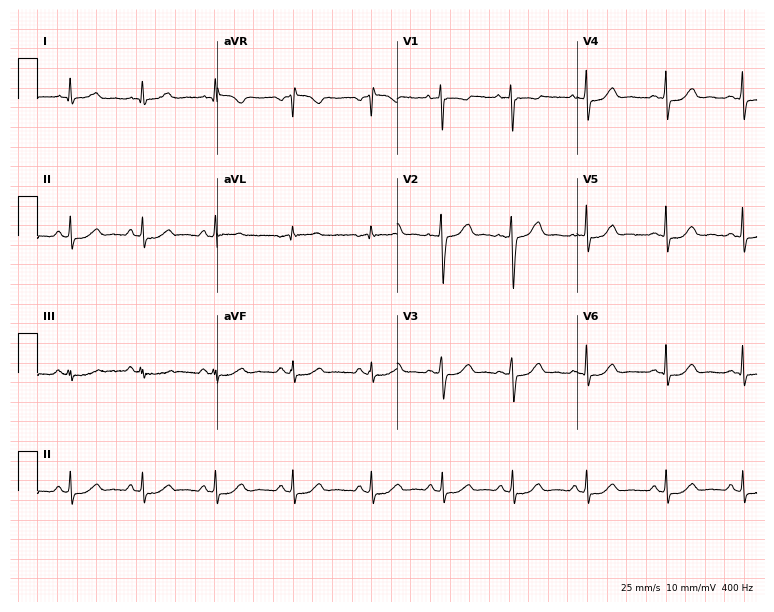
12-lead ECG from a female patient, 27 years old (7.3-second recording at 400 Hz). No first-degree AV block, right bundle branch block, left bundle branch block, sinus bradycardia, atrial fibrillation or sinus tachycardia recorded for this tracing. Other findings, if any, are not listed.